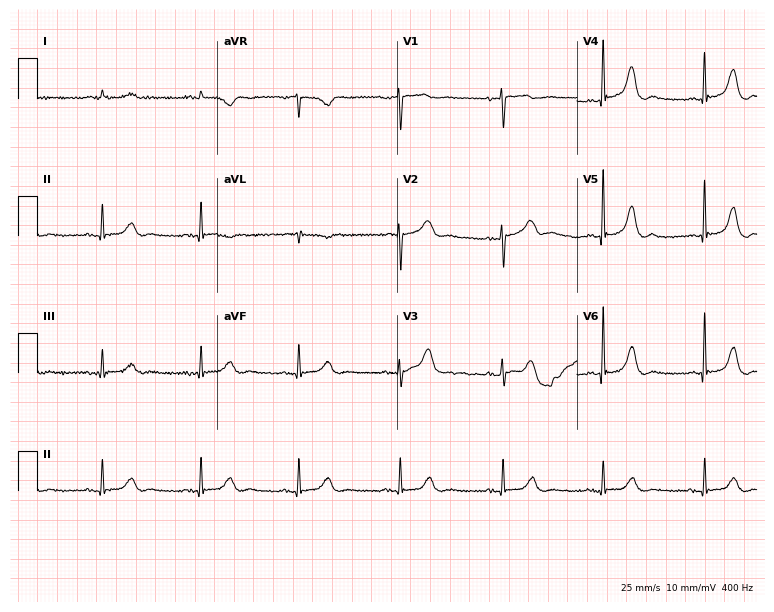
ECG — a 64-year-old woman. Screened for six findings — first-degree AV block, right bundle branch block (RBBB), left bundle branch block (LBBB), sinus bradycardia, atrial fibrillation (AF), sinus tachycardia — none is recorded. Only these six findings were labelled.